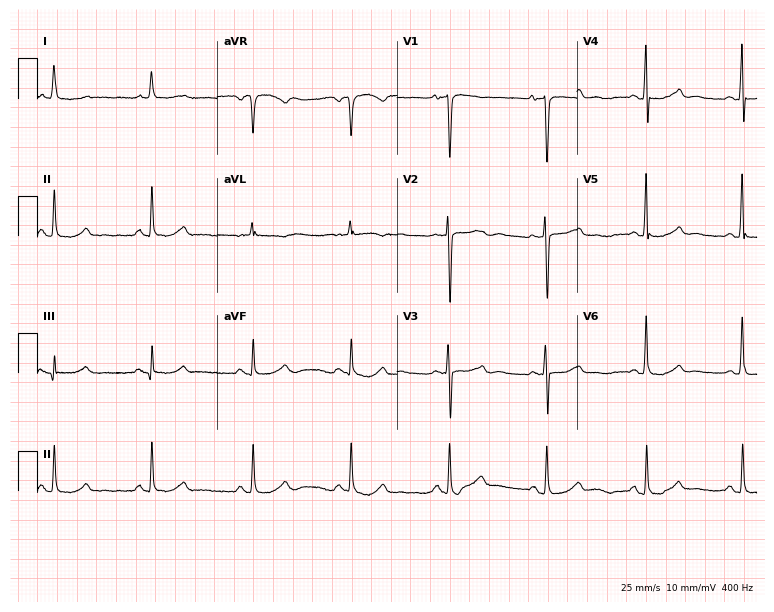
12-lead ECG (7.3-second recording at 400 Hz) from a woman, 59 years old. Screened for six findings — first-degree AV block, right bundle branch block, left bundle branch block, sinus bradycardia, atrial fibrillation, sinus tachycardia — none is recorded.